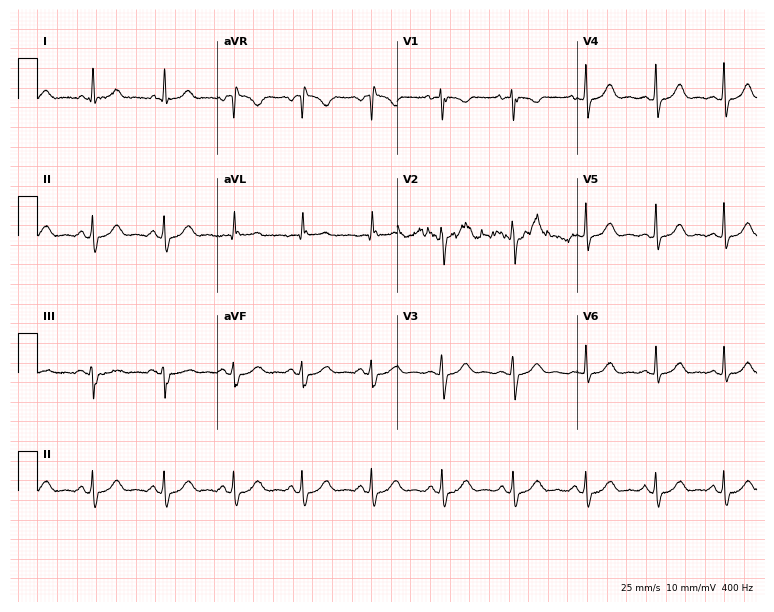
Standard 12-lead ECG recorded from a 40-year-old female. Read as a normal ECG.